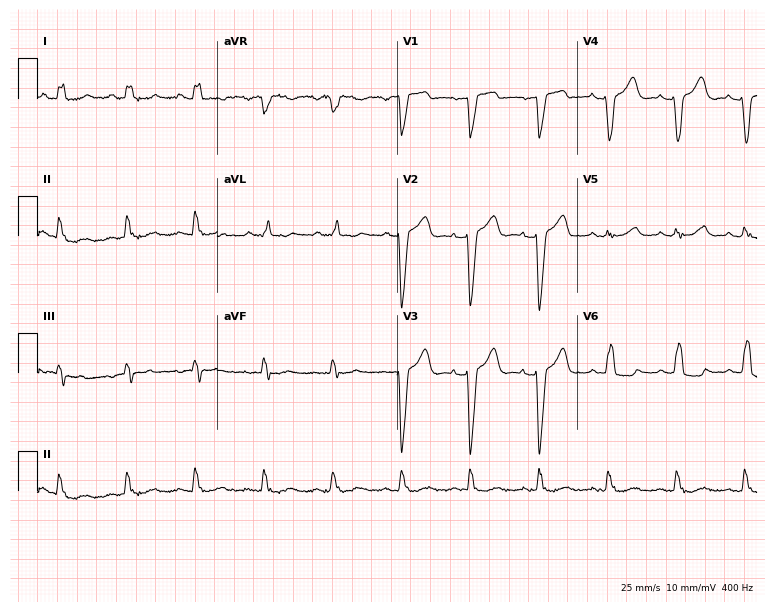
Standard 12-lead ECG recorded from a 73-year-old female (7.3-second recording at 400 Hz). The tracing shows left bundle branch block.